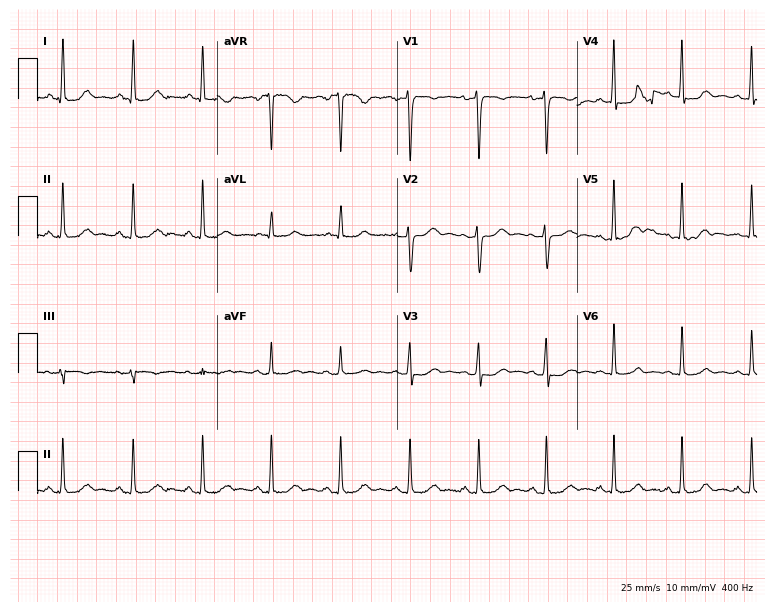
Standard 12-lead ECG recorded from a woman, 43 years old (7.3-second recording at 400 Hz). Read as a normal ECG.